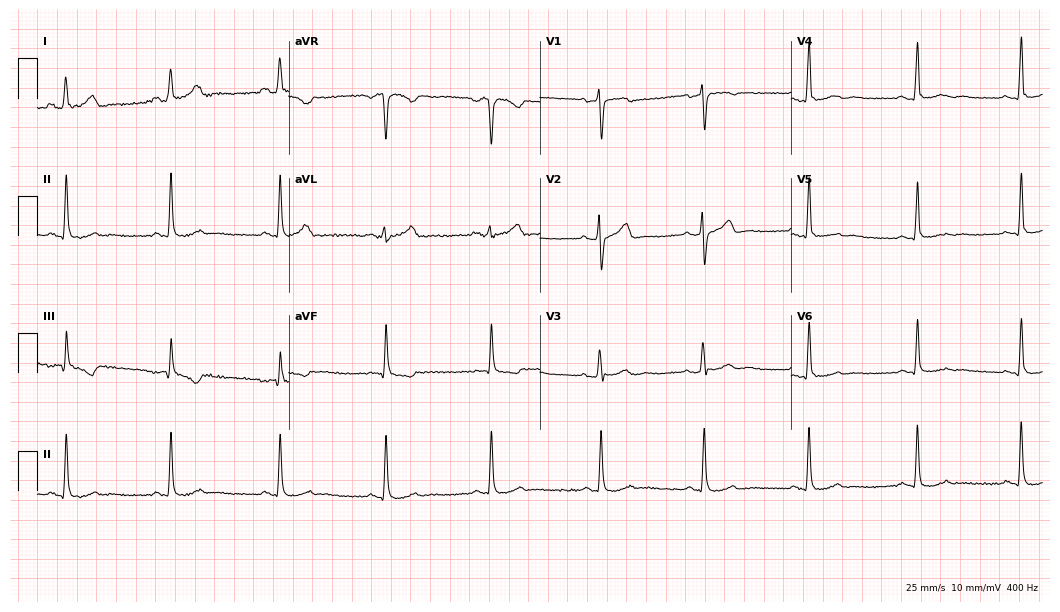
12-lead ECG from a female, 43 years old. Recorded interpretation: within normal limits.